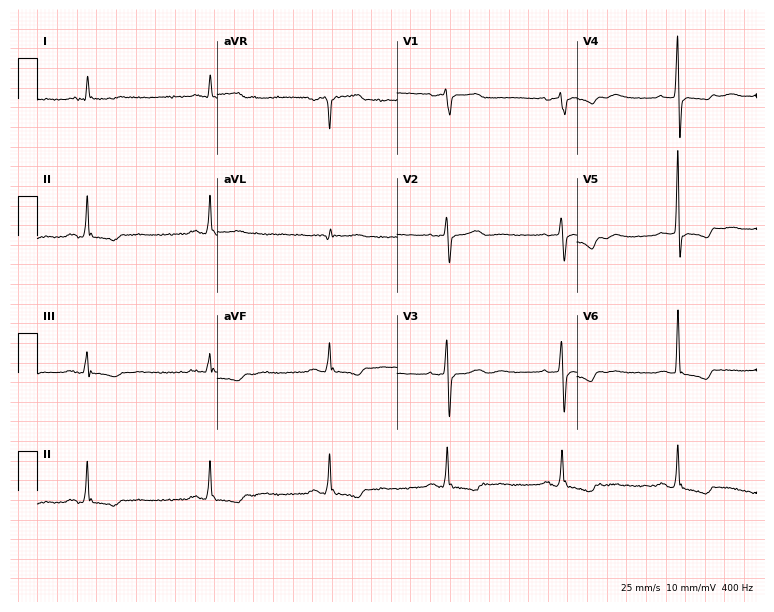
Standard 12-lead ECG recorded from a 74-year-old female. None of these six findings is recorded: first-degree AV block, right bundle branch block (RBBB), left bundle branch block (LBBB), sinus bradycardia, atrial fibrillation (AF), sinus tachycardia.